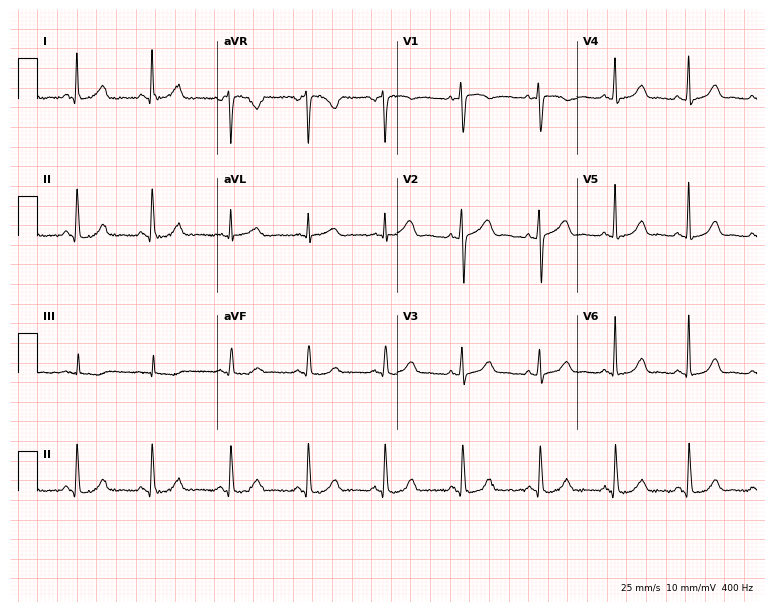
Standard 12-lead ECG recorded from a 54-year-old female patient. None of these six findings is recorded: first-degree AV block, right bundle branch block, left bundle branch block, sinus bradycardia, atrial fibrillation, sinus tachycardia.